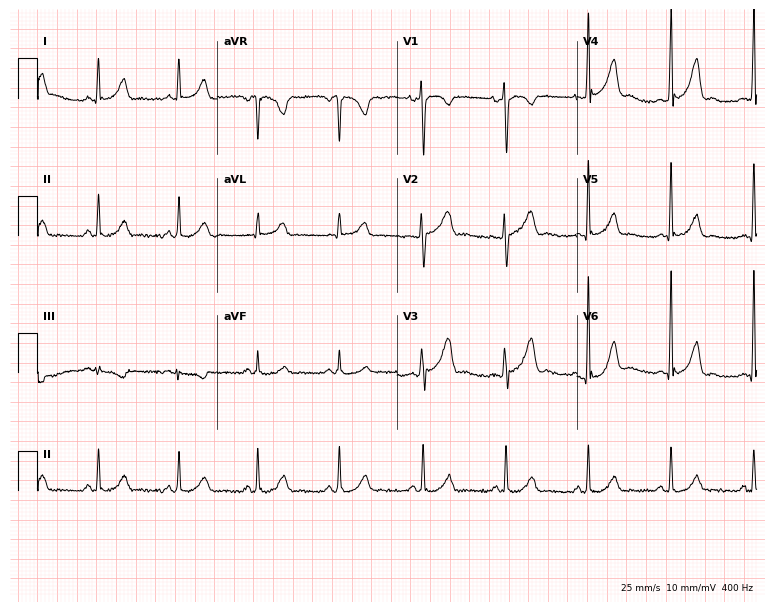
Standard 12-lead ECG recorded from a 32-year-old female. None of these six findings is recorded: first-degree AV block, right bundle branch block, left bundle branch block, sinus bradycardia, atrial fibrillation, sinus tachycardia. Other findings, if any, are not listed.